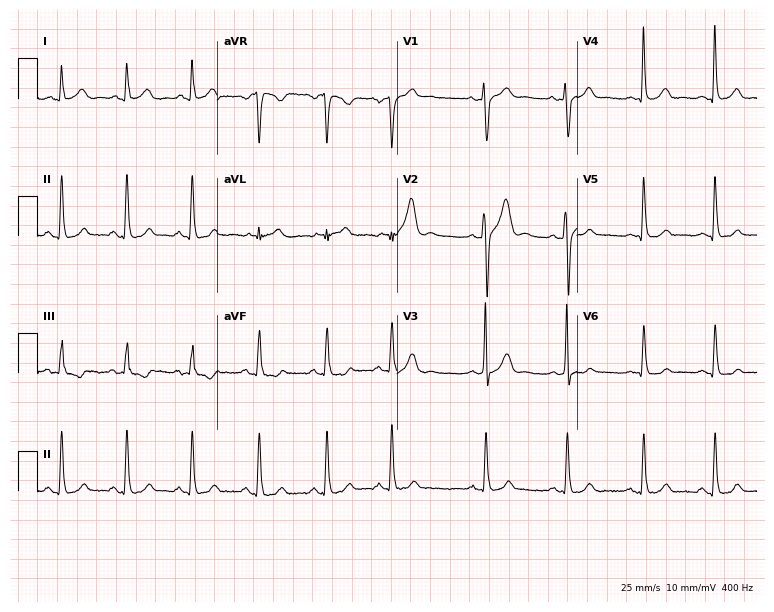
12-lead ECG (7.3-second recording at 400 Hz) from a 27-year-old man. Screened for six findings — first-degree AV block, right bundle branch block (RBBB), left bundle branch block (LBBB), sinus bradycardia, atrial fibrillation (AF), sinus tachycardia — none is recorded. Other findings, if any, are not listed.